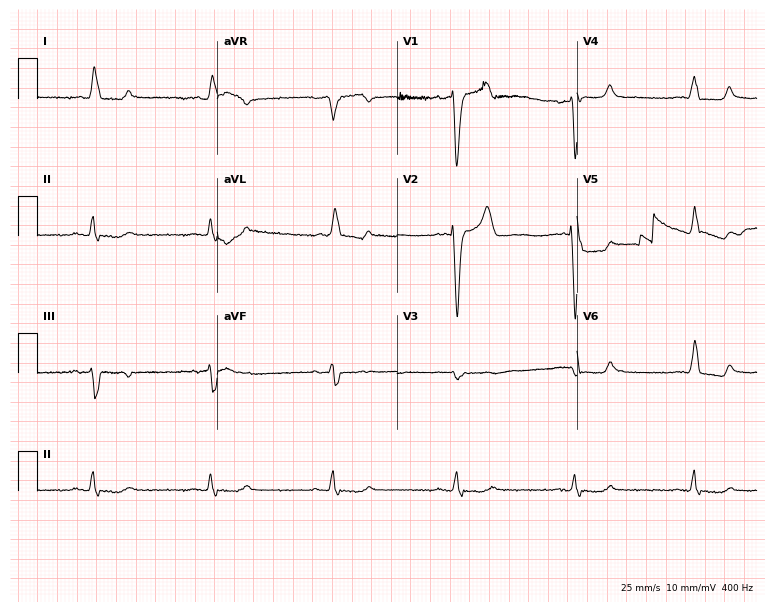
Resting 12-lead electrocardiogram. Patient: a 74-year-old female. The tracing shows left bundle branch block, sinus bradycardia (a sinus rate of 50 beats per minute or less).